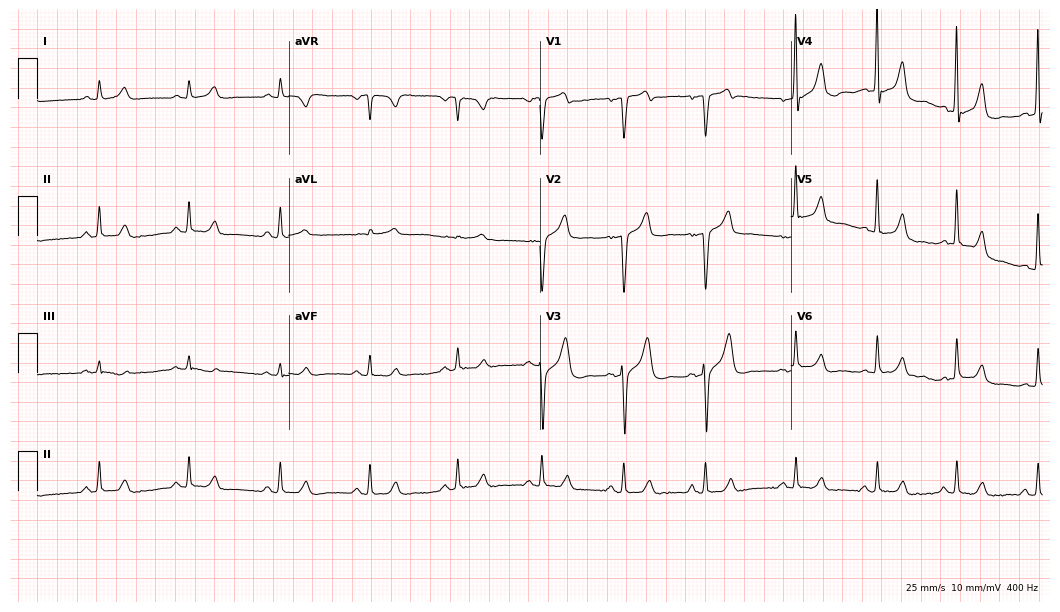
12-lead ECG from a male, 62 years old. Recorded interpretation: within normal limits.